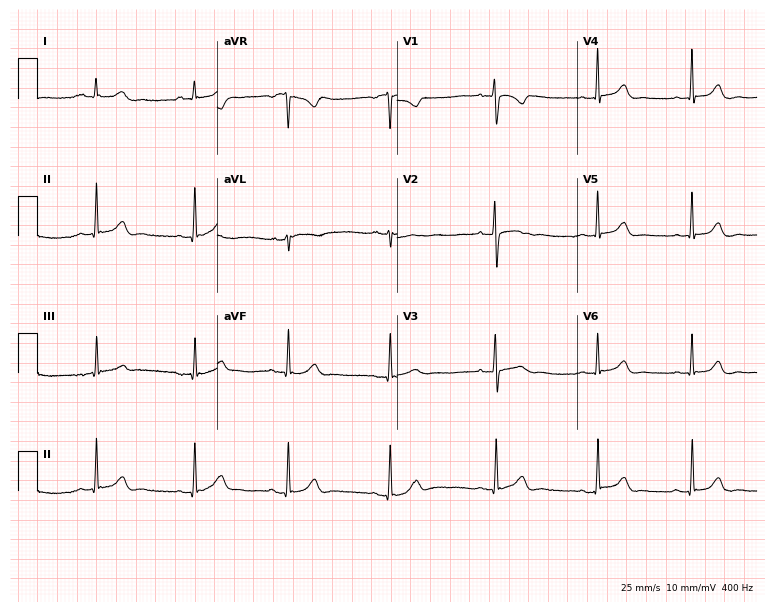
Resting 12-lead electrocardiogram. Patient: a woman, 22 years old. Read as a normal ECG.